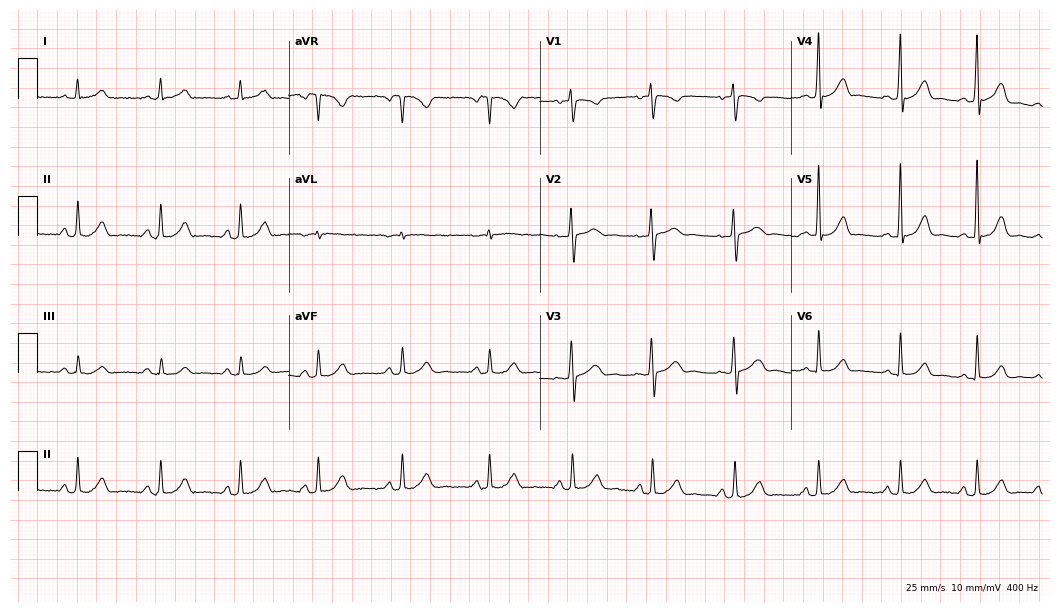
ECG — a 40-year-old female. Labelled as a normal ECG.